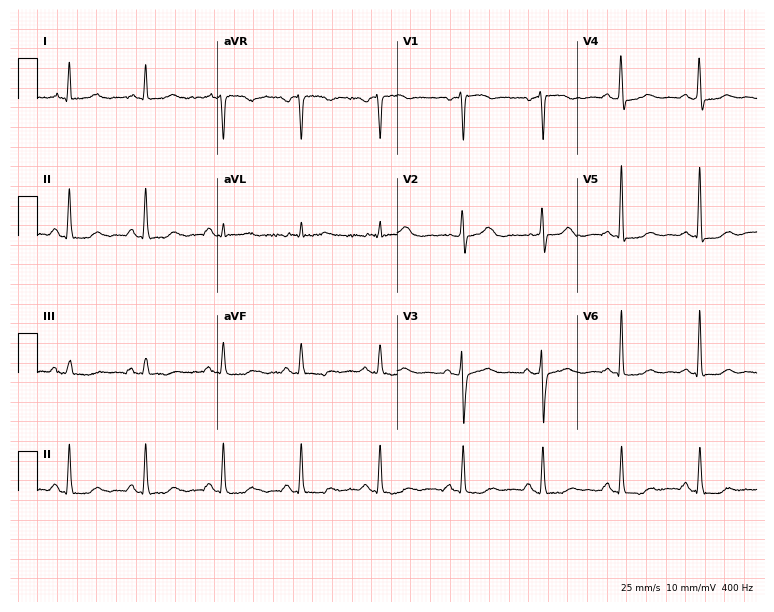
12-lead ECG from a woman, 76 years old. No first-degree AV block, right bundle branch block, left bundle branch block, sinus bradycardia, atrial fibrillation or sinus tachycardia recorded for this tracing. Findings outside these six are not listed.